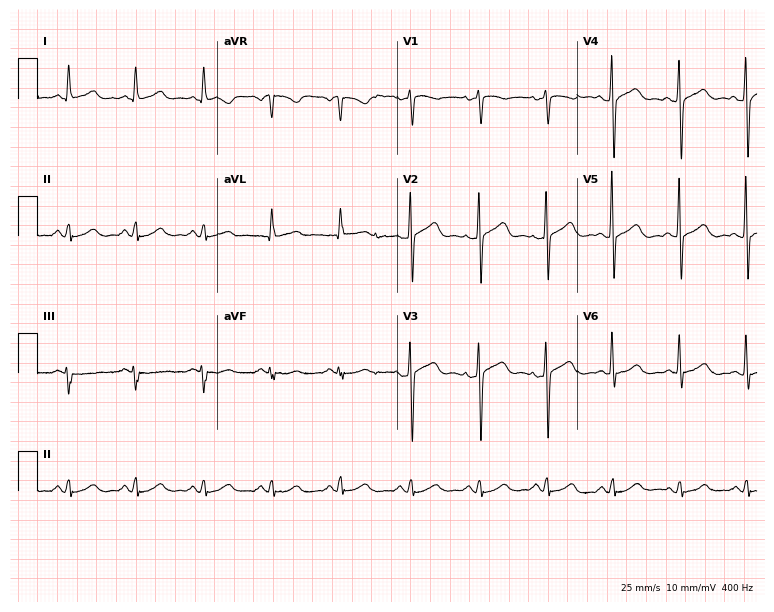
12-lead ECG from a 55-year-old female patient. Recorded interpretation: within normal limits.